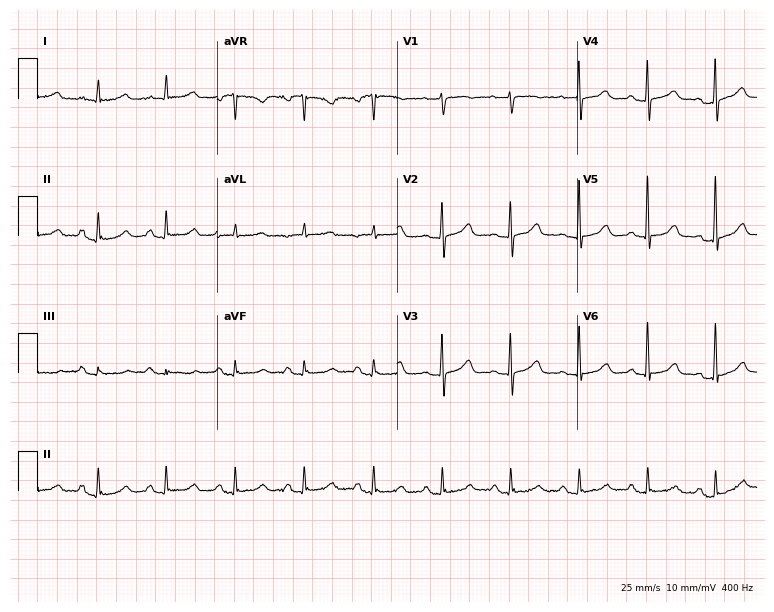
Standard 12-lead ECG recorded from an 82-year-old woman. Read as a normal ECG.